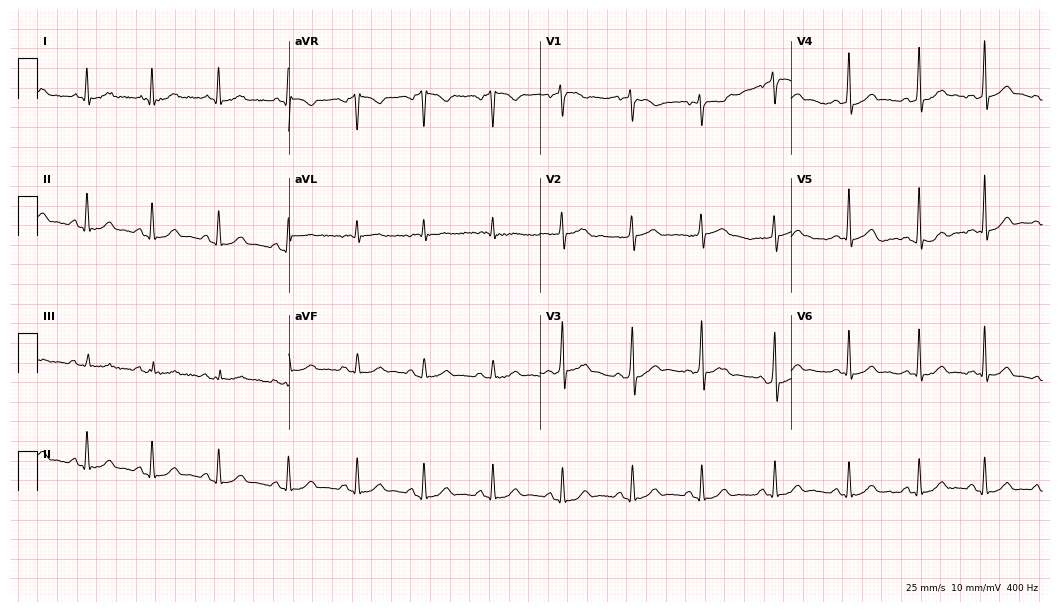
Standard 12-lead ECG recorded from a 49-year-old female (10.2-second recording at 400 Hz). Read as a normal ECG.